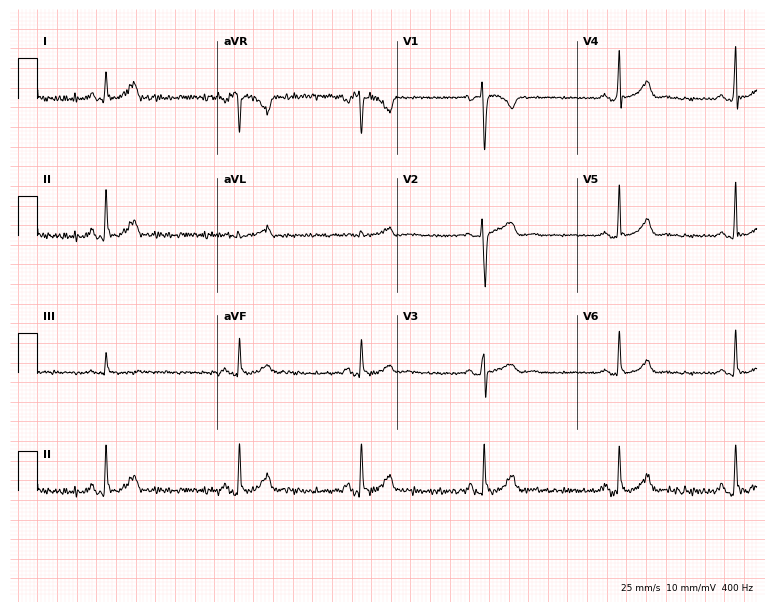
12-lead ECG from a 23-year-old female patient. No first-degree AV block, right bundle branch block, left bundle branch block, sinus bradycardia, atrial fibrillation or sinus tachycardia recorded for this tracing.